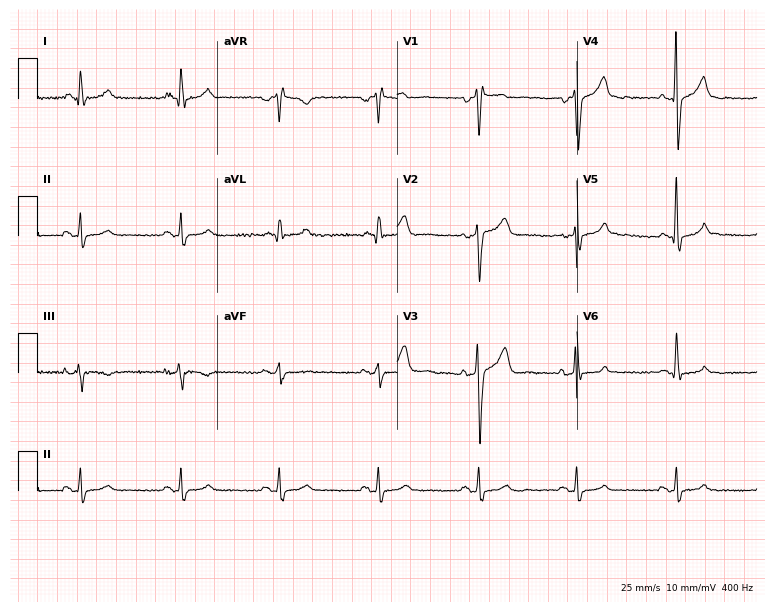
12-lead ECG from a man, 48 years old. No first-degree AV block, right bundle branch block, left bundle branch block, sinus bradycardia, atrial fibrillation or sinus tachycardia recorded for this tracing.